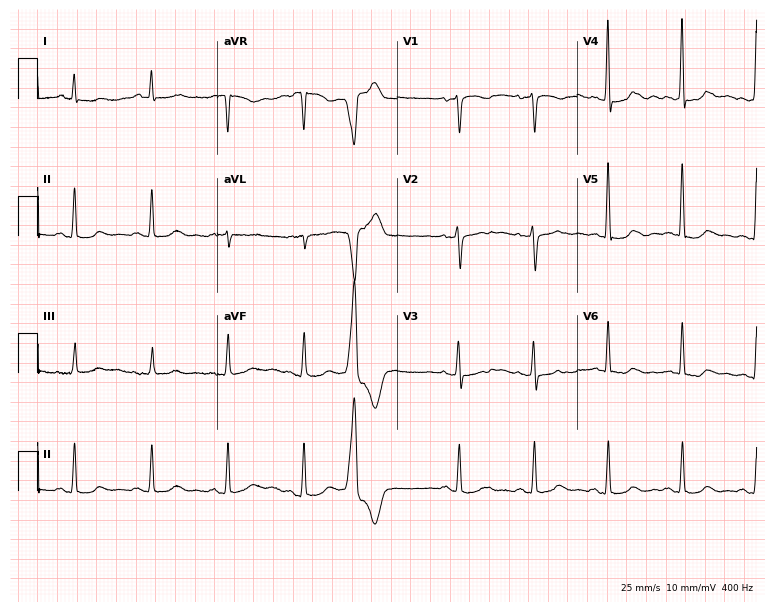
ECG (7.3-second recording at 400 Hz) — a 63-year-old female patient. Screened for six findings — first-degree AV block, right bundle branch block, left bundle branch block, sinus bradycardia, atrial fibrillation, sinus tachycardia — none is recorded.